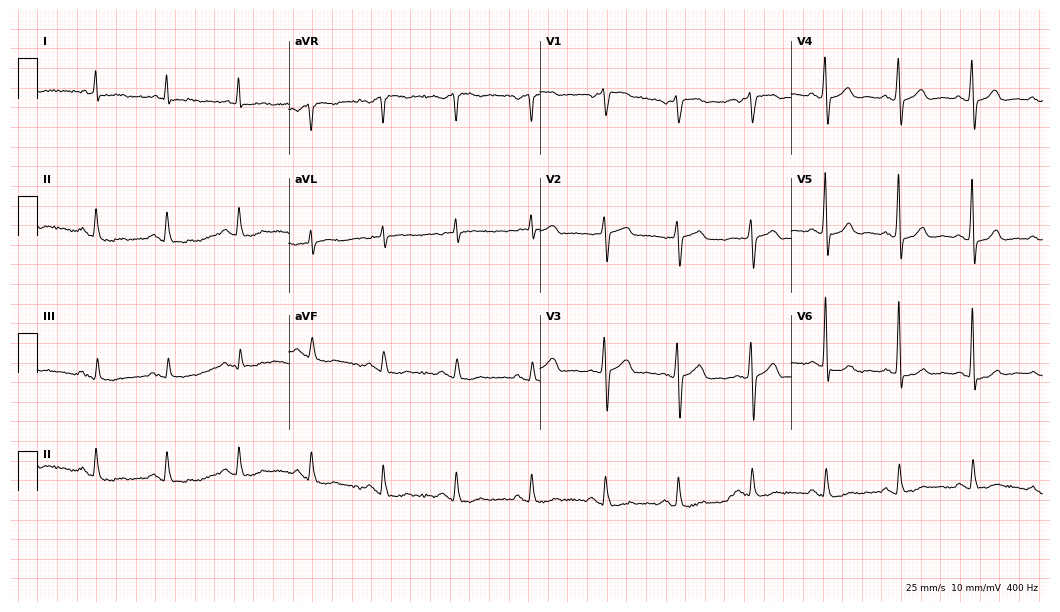
12-lead ECG from a 78-year-old male. Screened for six findings — first-degree AV block, right bundle branch block, left bundle branch block, sinus bradycardia, atrial fibrillation, sinus tachycardia — none is recorded. Only these six findings were labelled.